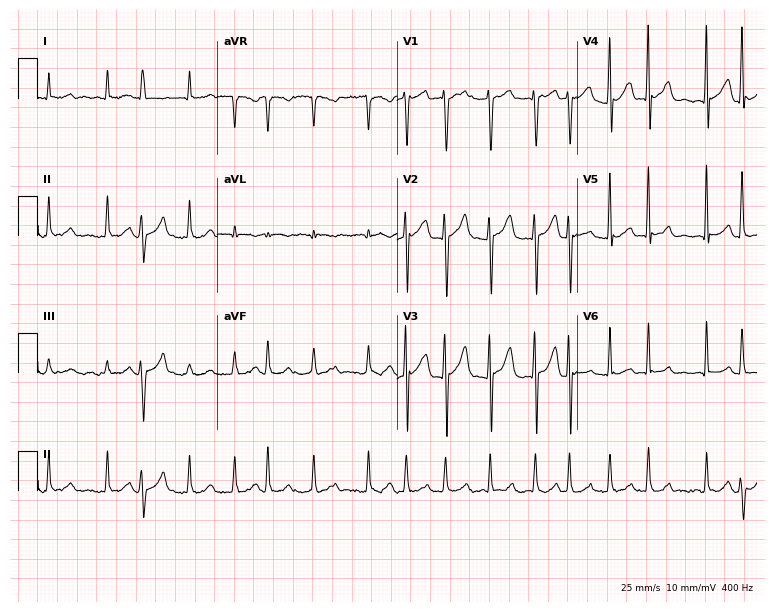
Standard 12-lead ECG recorded from a male, 77 years old. The tracing shows atrial fibrillation.